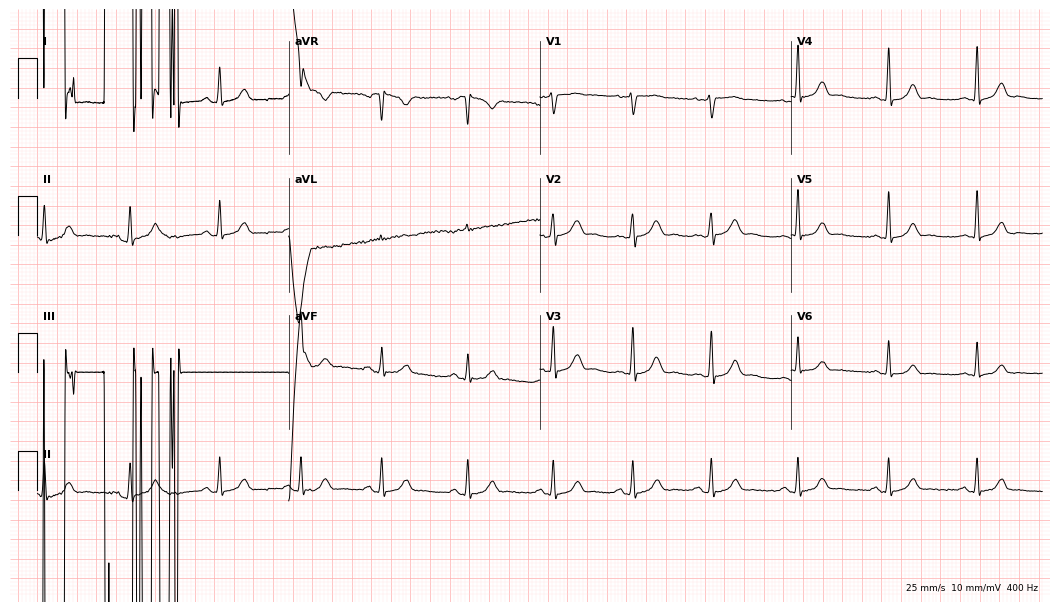
ECG — a 45-year-old female patient. Screened for six findings — first-degree AV block, right bundle branch block, left bundle branch block, sinus bradycardia, atrial fibrillation, sinus tachycardia — none is recorded.